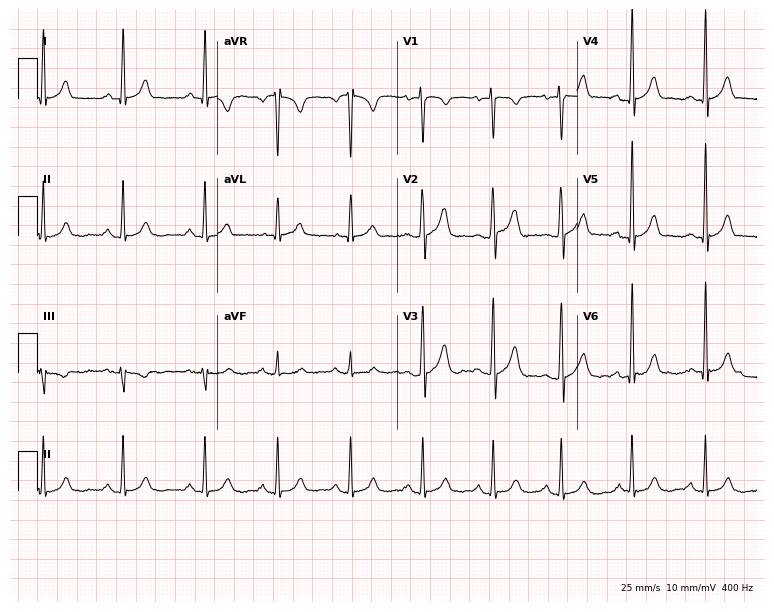
Standard 12-lead ECG recorded from a 19-year-old female patient (7.3-second recording at 400 Hz). Read as a normal ECG.